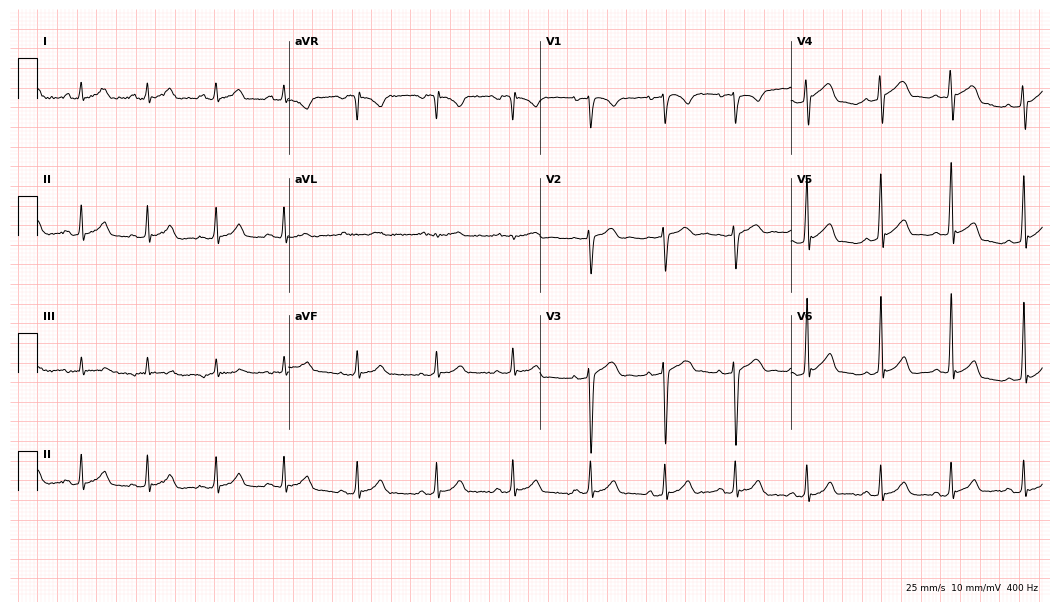
ECG (10.2-second recording at 400 Hz) — a male, 17 years old. Screened for six findings — first-degree AV block, right bundle branch block, left bundle branch block, sinus bradycardia, atrial fibrillation, sinus tachycardia — none is recorded.